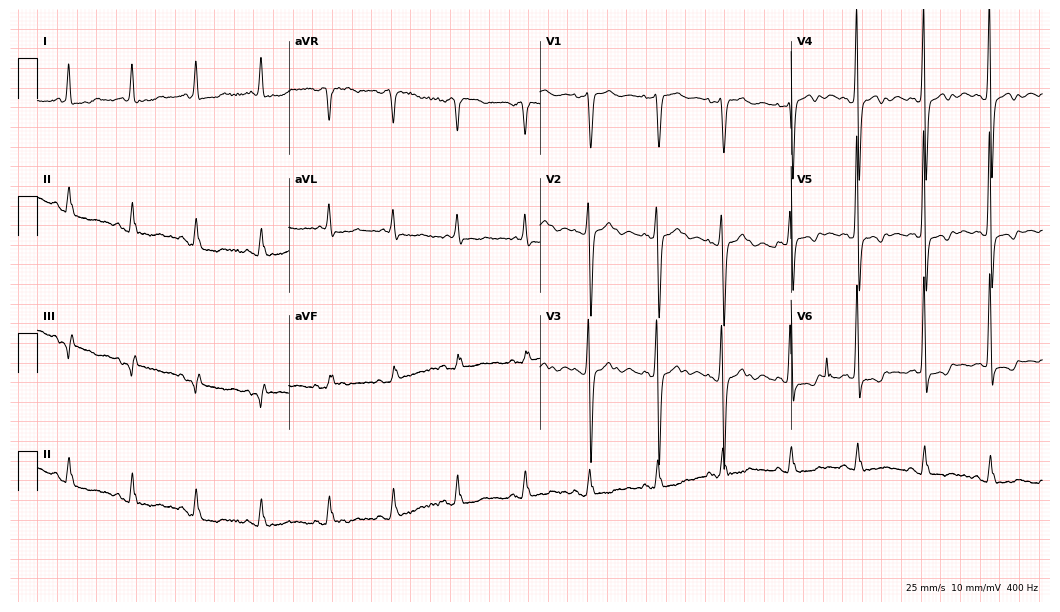
Electrocardiogram, a female, 63 years old. Of the six screened findings (first-degree AV block, right bundle branch block, left bundle branch block, sinus bradycardia, atrial fibrillation, sinus tachycardia), none is recorded.